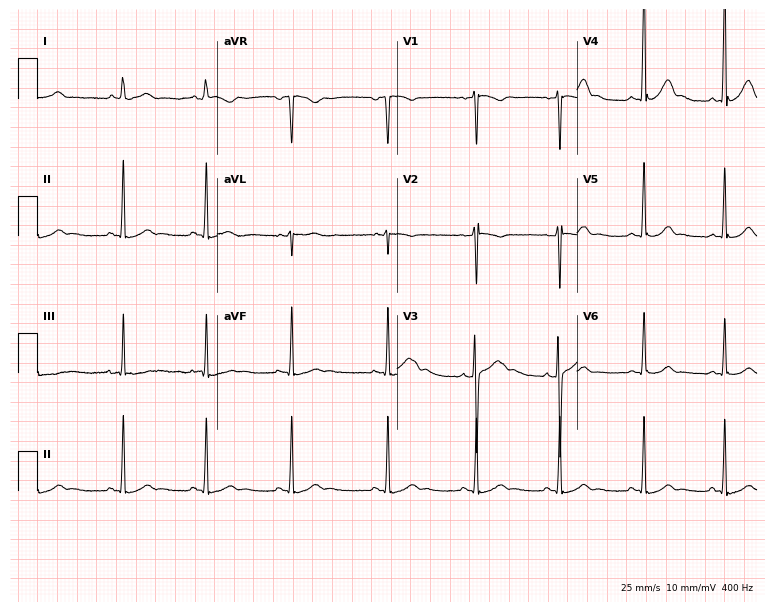
Electrocardiogram (7.3-second recording at 400 Hz), a woman, 17 years old. Of the six screened findings (first-degree AV block, right bundle branch block, left bundle branch block, sinus bradycardia, atrial fibrillation, sinus tachycardia), none is recorded. Findings outside these six are not listed.